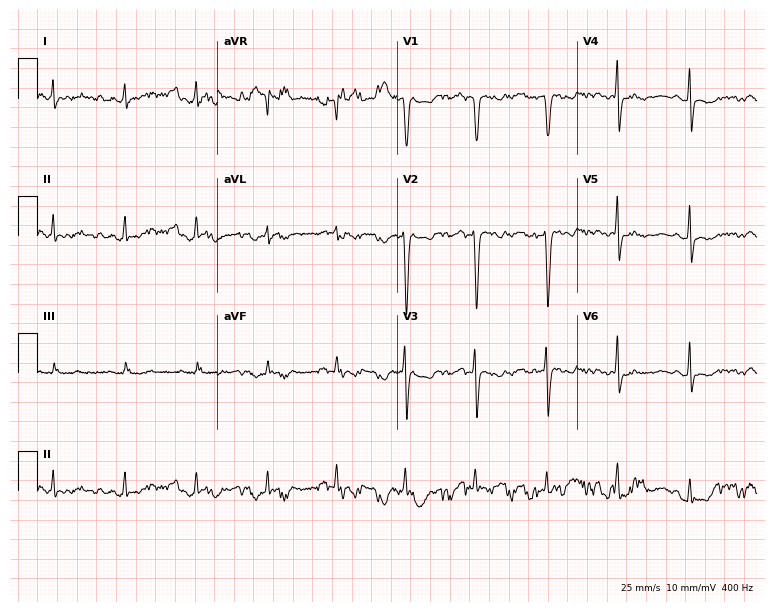
Standard 12-lead ECG recorded from a 30-year-old woman (7.3-second recording at 400 Hz). None of these six findings is recorded: first-degree AV block, right bundle branch block, left bundle branch block, sinus bradycardia, atrial fibrillation, sinus tachycardia. Findings outside these six are not listed.